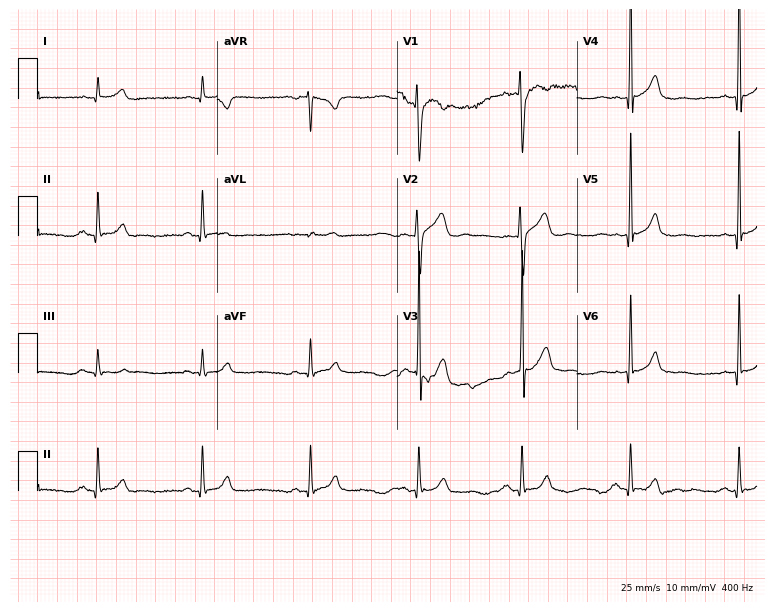
Standard 12-lead ECG recorded from a 39-year-old man (7.3-second recording at 400 Hz). Read as a normal ECG.